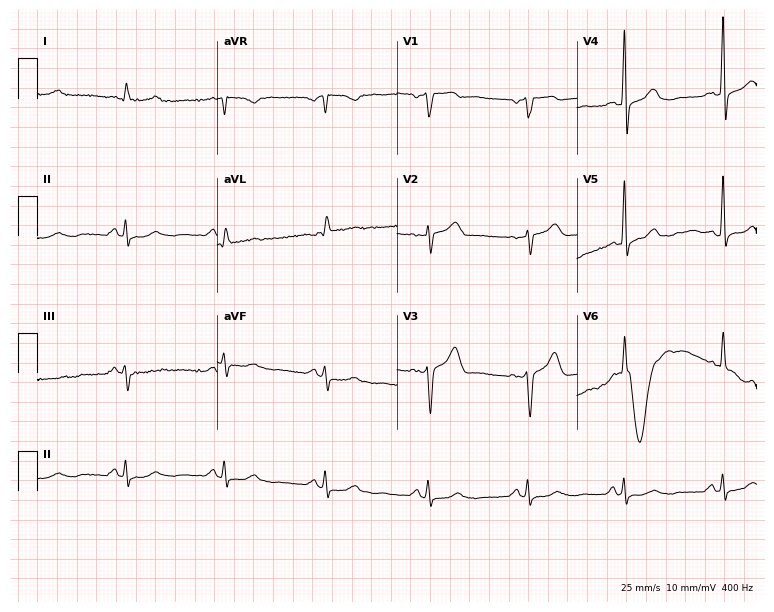
Standard 12-lead ECG recorded from a 47-year-old male (7.3-second recording at 400 Hz). None of these six findings is recorded: first-degree AV block, right bundle branch block (RBBB), left bundle branch block (LBBB), sinus bradycardia, atrial fibrillation (AF), sinus tachycardia. Other findings, if any, are not listed.